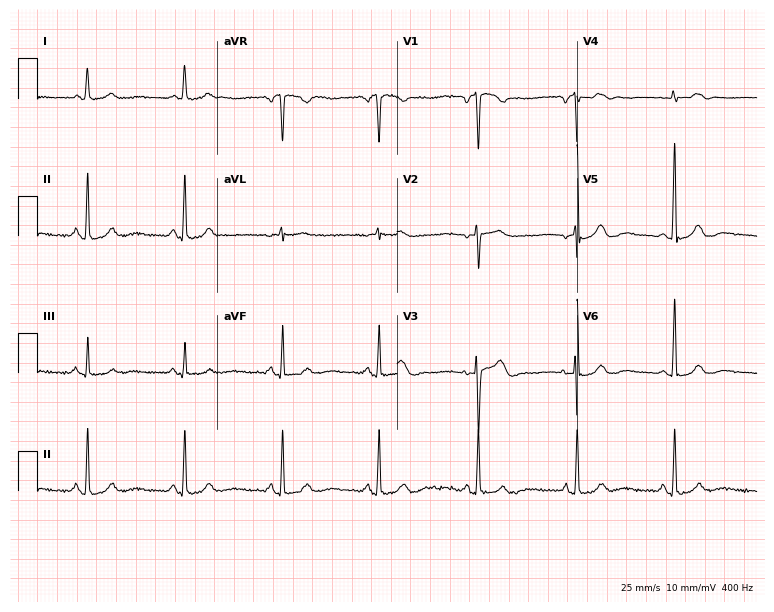
Resting 12-lead electrocardiogram (7.3-second recording at 400 Hz). Patient: a 63-year-old female. Read as a normal ECG.